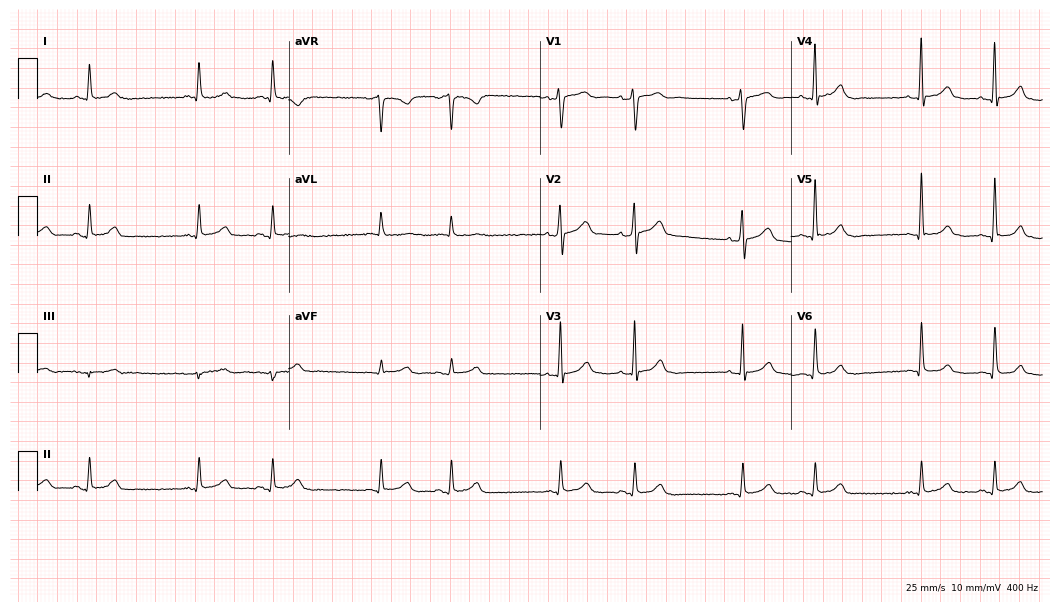
Electrocardiogram, a 64-year-old male. Of the six screened findings (first-degree AV block, right bundle branch block, left bundle branch block, sinus bradycardia, atrial fibrillation, sinus tachycardia), none is recorded. Findings outside these six are not listed.